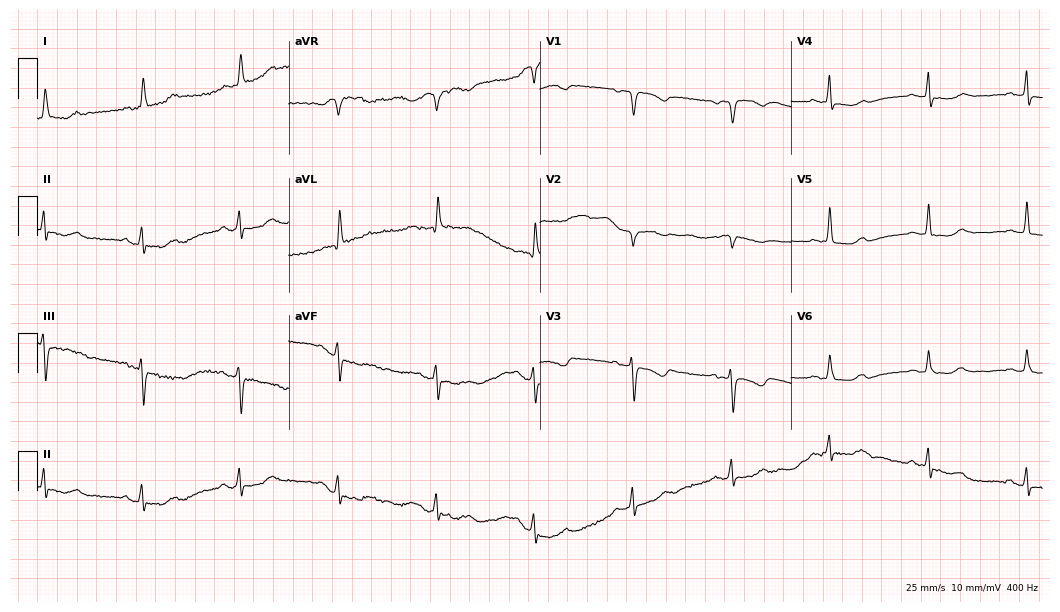
ECG (10.2-second recording at 400 Hz) — a 77-year-old woman. Labelled as a normal ECG.